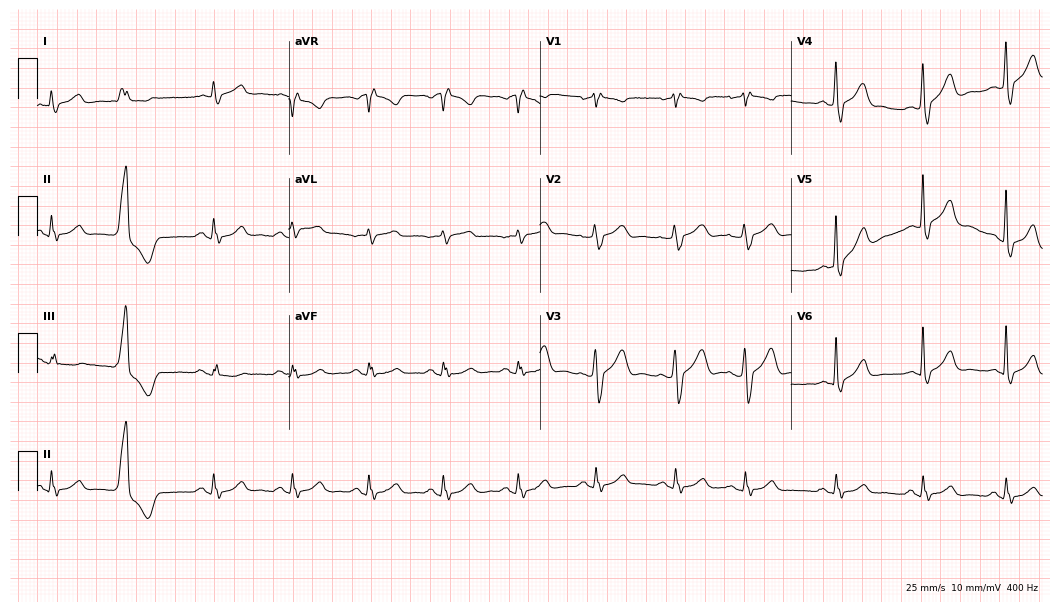
ECG — a 63-year-old male patient. Findings include right bundle branch block (RBBB).